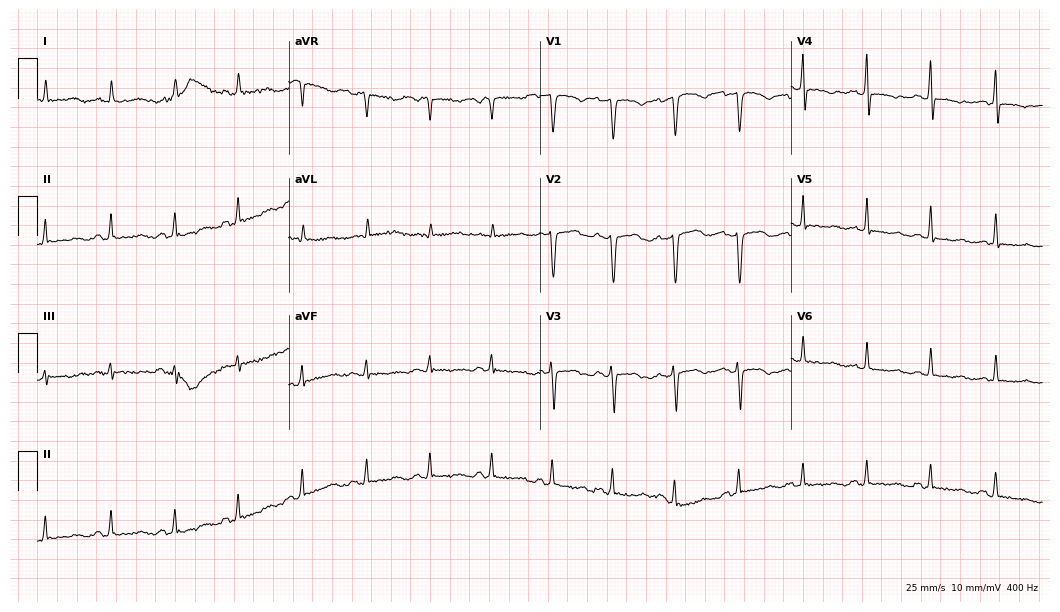
12-lead ECG from a 51-year-old female patient. Screened for six findings — first-degree AV block, right bundle branch block (RBBB), left bundle branch block (LBBB), sinus bradycardia, atrial fibrillation (AF), sinus tachycardia — none is recorded. Only these six findings were labelled.